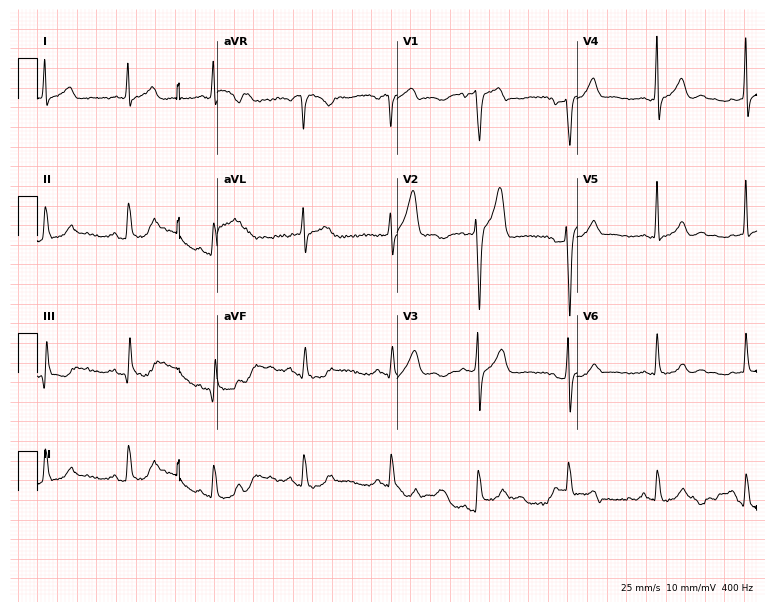
ECG (7.3-second recording at 400 Hz) — a male patient, 40 years old. Screened for six findings — first-degree AV block, right bundle branch block (RBBB), left bundle branch block (LBBB), sinus bradycardia, atrial fibrillation (AF), sinus tachycardia — none is recorded.